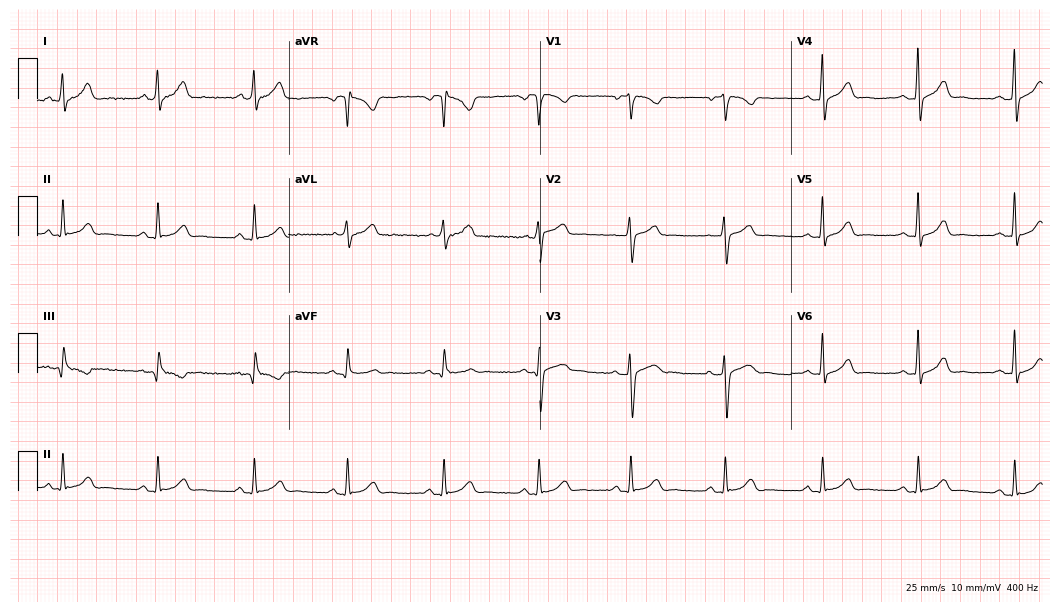
Electrocardiogram, a 35-year-old female patient. Overall reading on record: normal ECG.